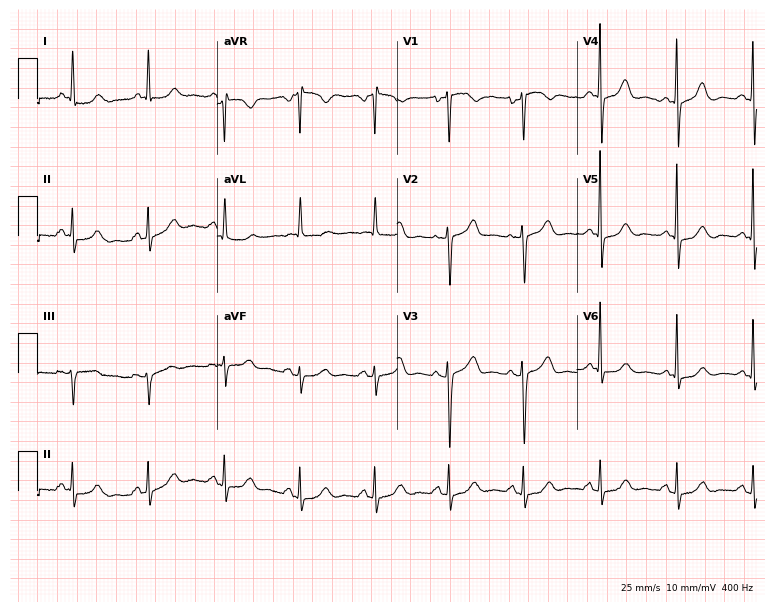
Standard 12-lead ECG recorded from an 84-year-old female patient (7.3-second recording at 400 Hz). None of these six findings is recorded: first-degree AV block, right bundle branch block, left bundle branch block, sinus bradycardia, atrial fibrillation, sinus tachycardia. Only these six findings were labelled.